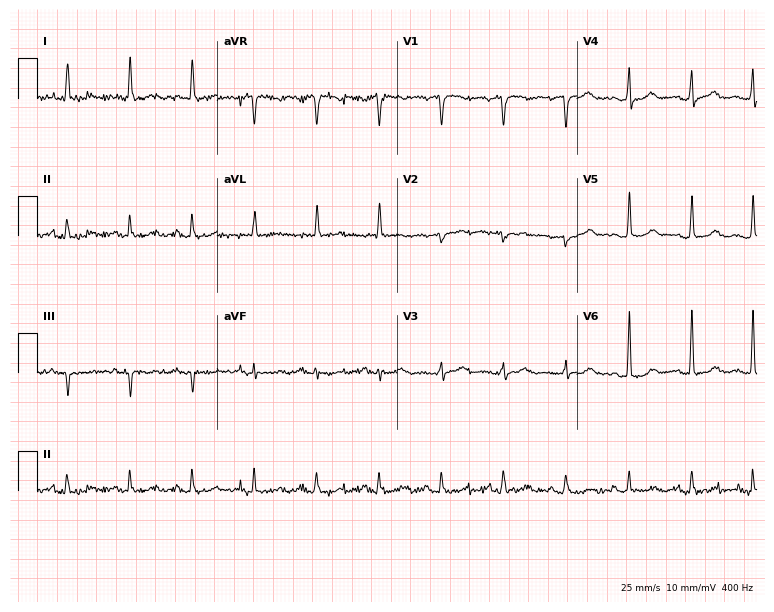
ECG — a woman, 64 years old. Screened for six findings — first-degree AV block, right bundle branch block (RBBB), left bundle branch block (LBBB), sinus bradycardia, atrial fibrillation (AF), sinus tachycardia — none is recorded.